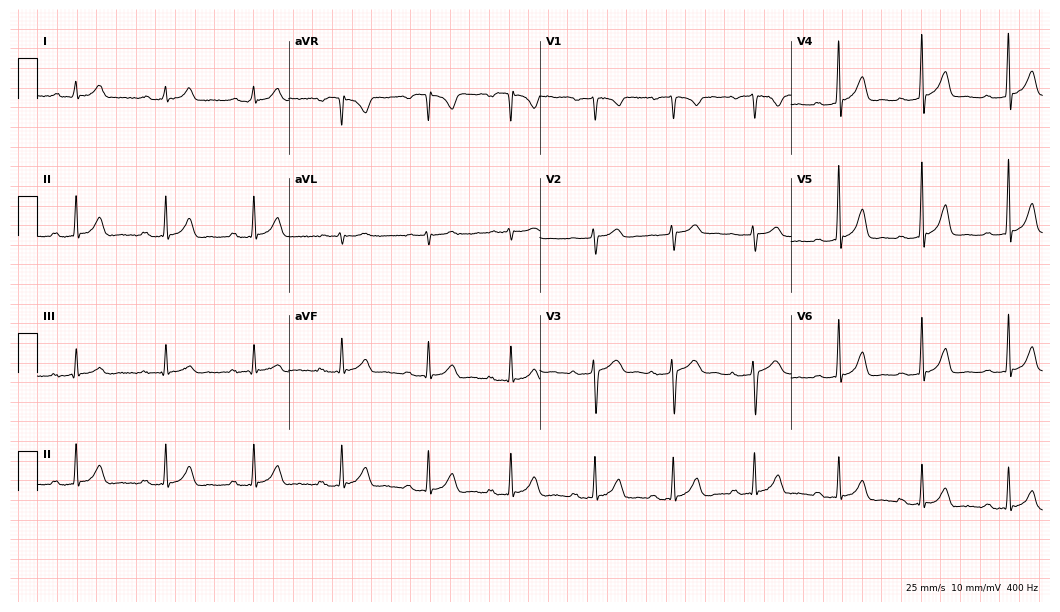
Electrocardiogram, a 33-year-old woman. Interpretation includes first-degree AV block.